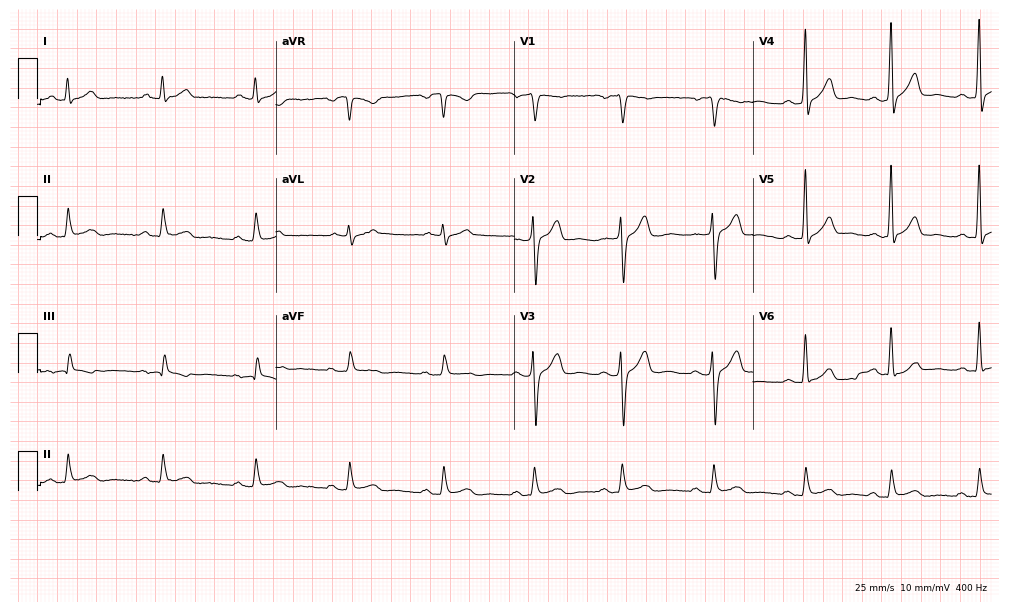
12-lead ECG from a 43-year-old man. Screened for six findings — first-degree AV block, right bundle branch block, left bundle branch block, sinus bradycardia, atrial fibrillation, sinus tachycardia — none is recorded.